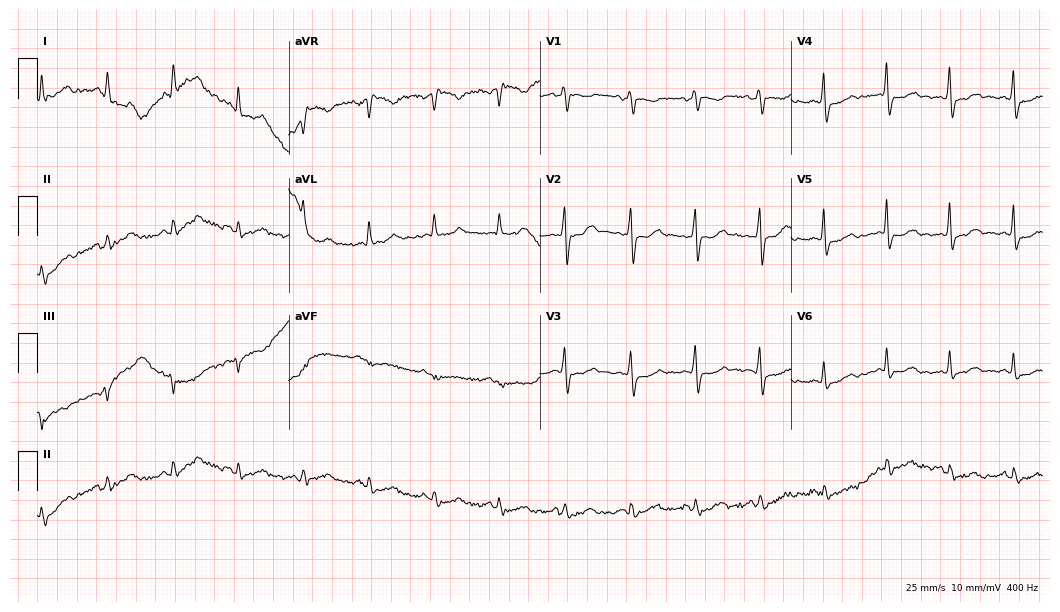
Resting 12-lead electrocardiogram (10.2-second recording at 400 Hz). Patient: a female, 51 years old. None of these six findings is recorded: first-degree AV block, right bundle branch block, left bundle branch block, sinus bradycardia, atrial fibrillation, sinus tachycardia.